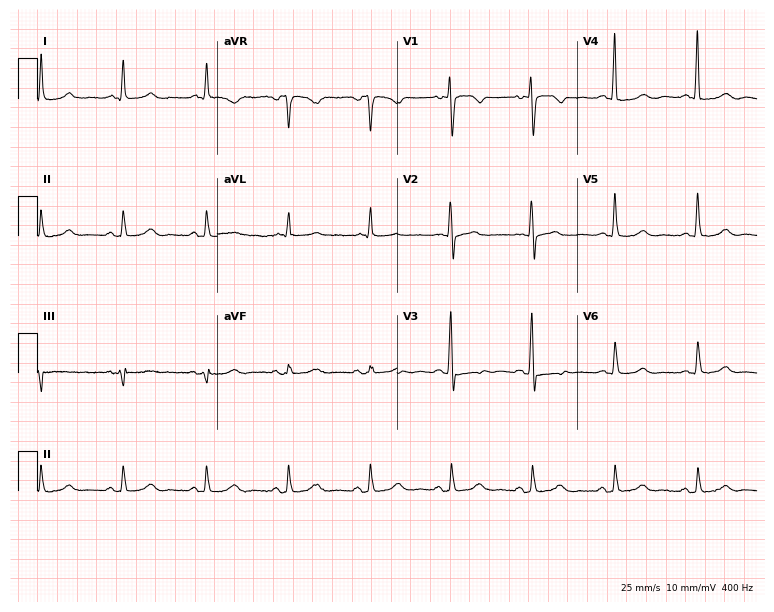
ECG (7.3-second recording at 400 Hz) — a 55-year-old woman. Screened for six findings — first-degree AV block, right bundle branch block (RBBB), left bundle branch block (LBBB), sinus bradycardia, atrial fibrillation (AF), sinus tachycardia — none is recorded. Only these six findings were labelled.